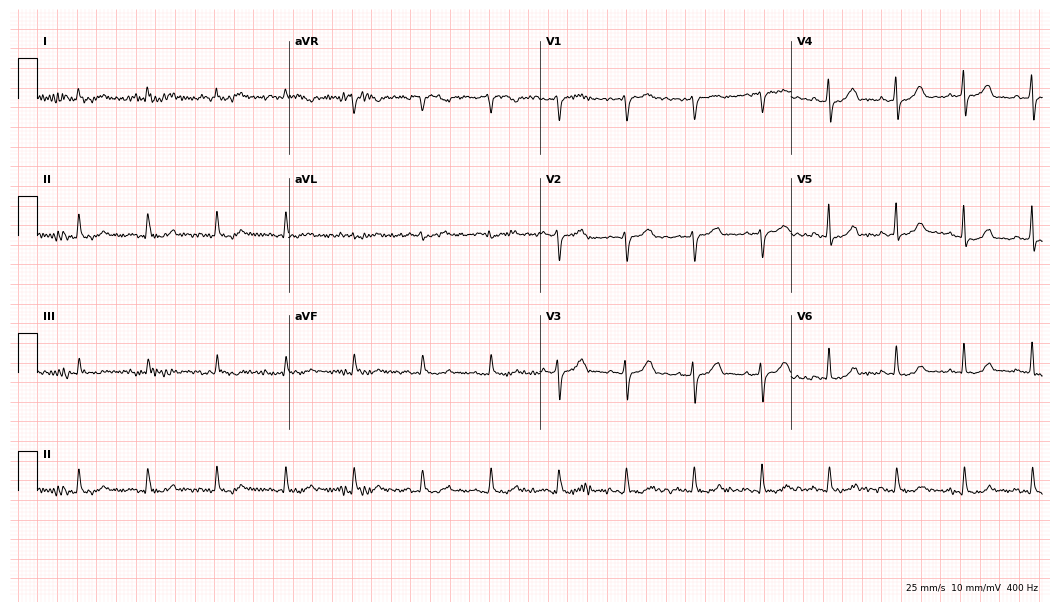
Standard 12-lead ECG recorded from a male patient, 69 years old (10.2-second recording at 400 Hz). Read as a normal ECG.